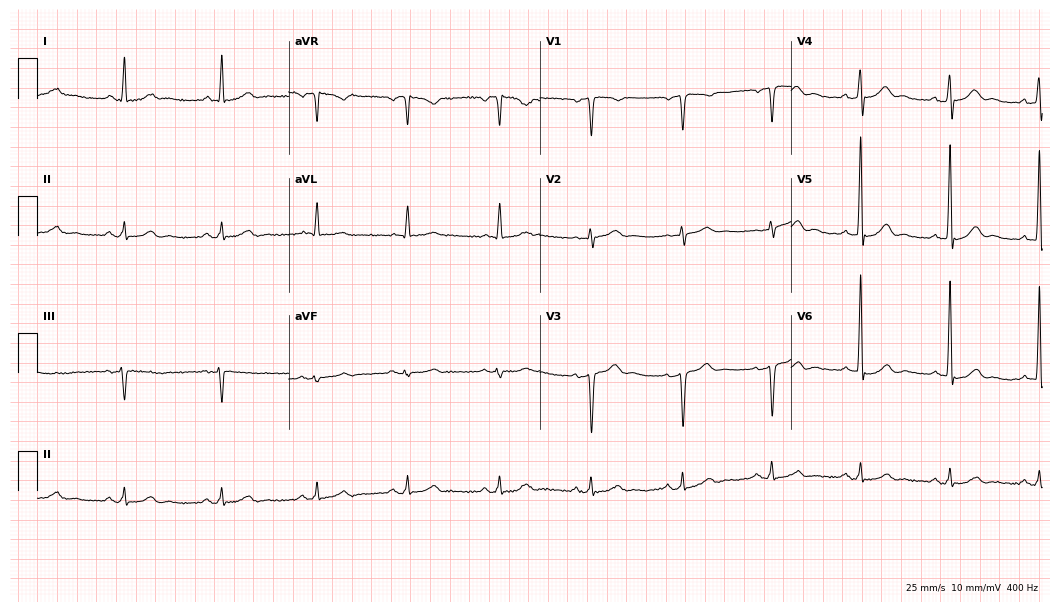
Resting 12-lead electrocardiogram (10.2-second recording at 400 Hz). Patient: a 53-year-old man. Read as a normal ECG.